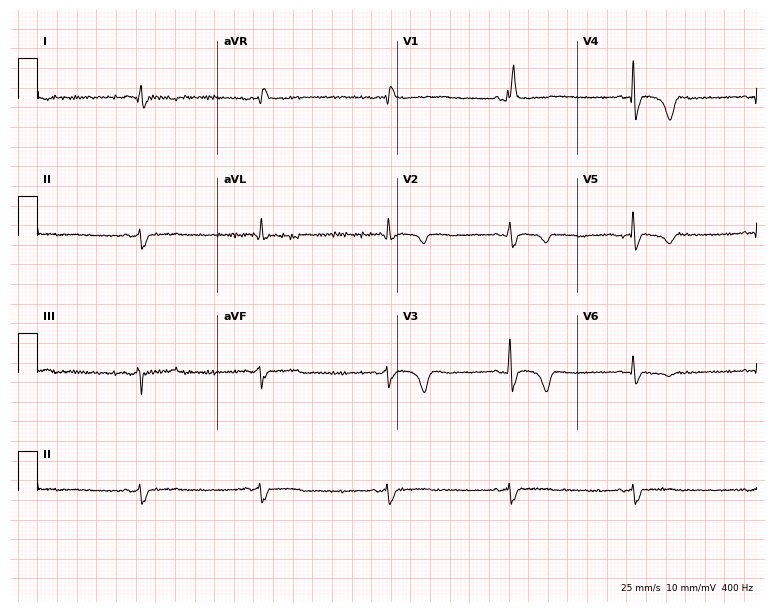
ECG — an 82-year-old female. Findings include right bundle branch block (RBBB), sinus bradycardia (a sinus rate of 50 beats per minute or less).